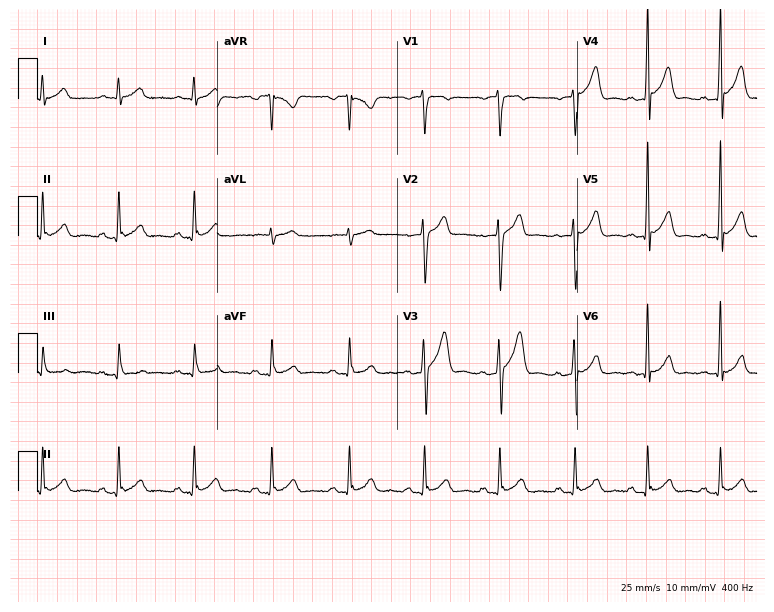
12-lead ECG from a male, 41 years old. Recorded interpretation: within normal limits.